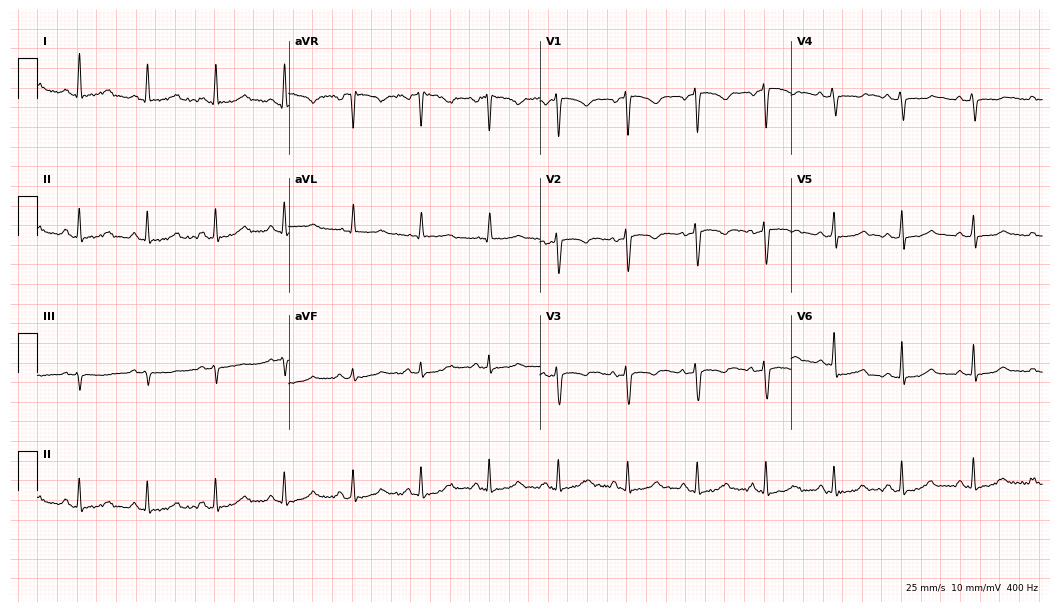
Resting 12-lead electrocardiogram (10.2-second recording at 400 Hz). Patient: a woman, 41 years old. Read as a normal ECG.